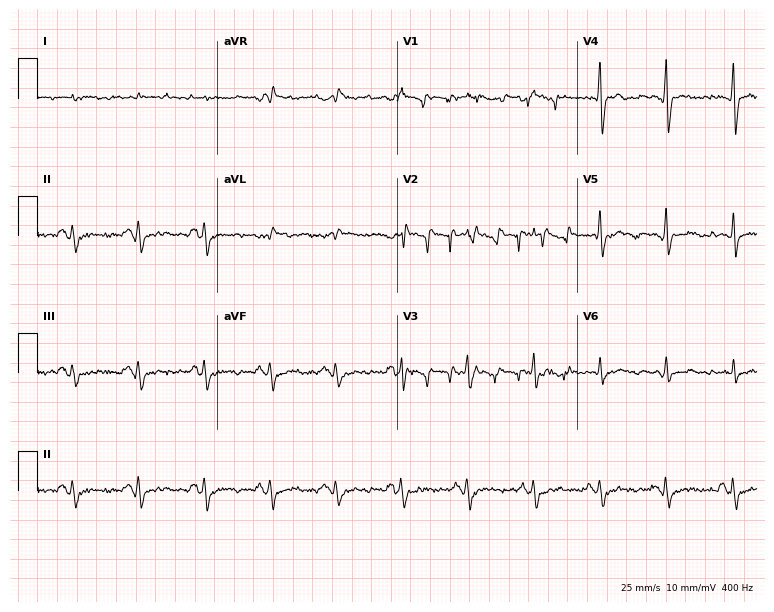
12-lead ECG (7.3-second recording at 400 Hz) from a 66-year-old man. Screened for six findings — first-degree AV block, right bundle branch block (RBBB), left bundle branch block (LBBB), sinus bradycardia, atrial fibrillation (AF), sinus tachycardia — none is recorded. Only these six findings were labelled.